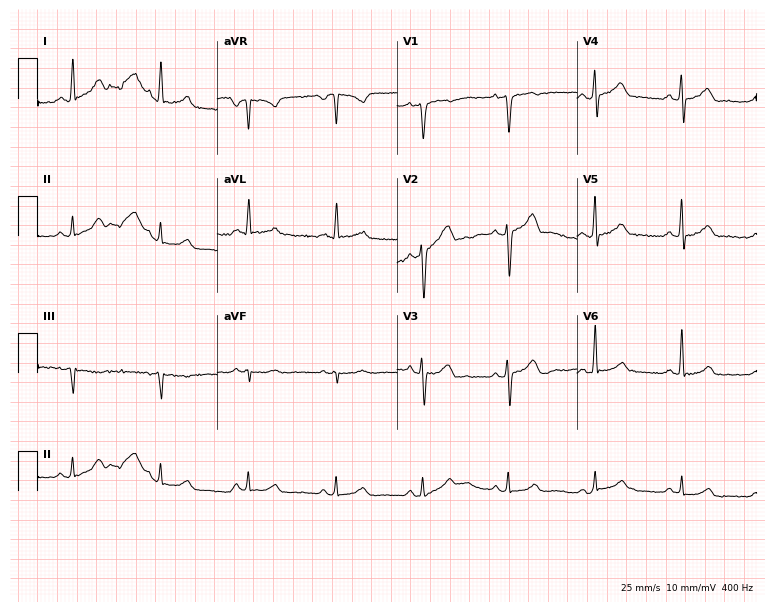
ECG — a 40-year-old male. Screened for six findings — first-degree AV block, right bundle branch block (RBBB), left bundle branch block (LBBB), sinus bradycardia, atrial fibrillation (AF), sinus tachycardia — none is recorded. Other findings, if any, are not listed.